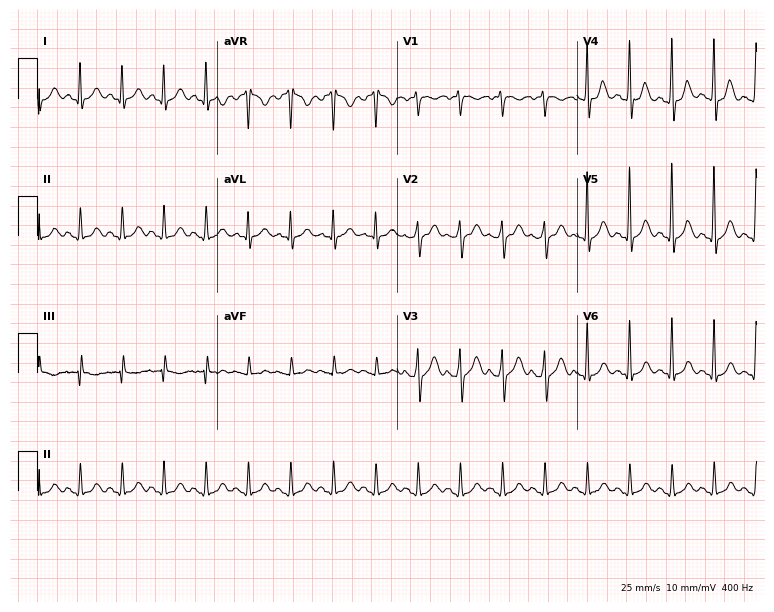
Resting 12-lead electrocardiogram (7.3-second recording at 400 Hz). Patient: a female, 42 years old. None of these six findings is recorded: first-degree AV block, right bundle branch block, left bundle branch block, sinus bradycardia, atrial fibrillation, sinus tachycardia. Only these six findings were labelled.